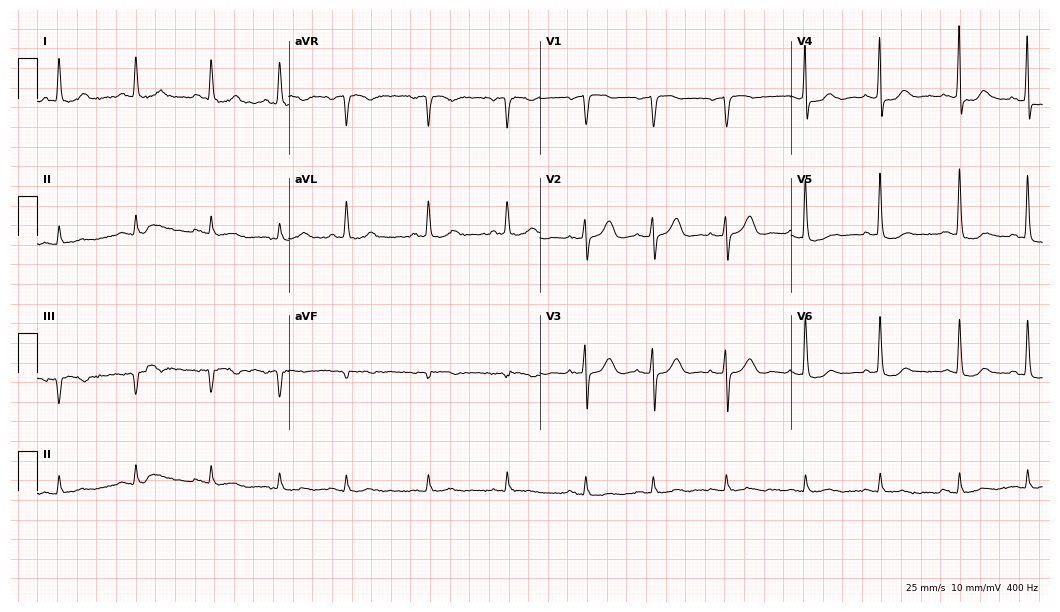
12-lead ECG (10.2-second recording at 400 Hz) from a female, 73 years old. Screened for six findings — first-degree AV block, right bundle branch block, left bundle branch block, sinus bradycardia, atrial fibrillation, sinus tachycardia — none is recorded.